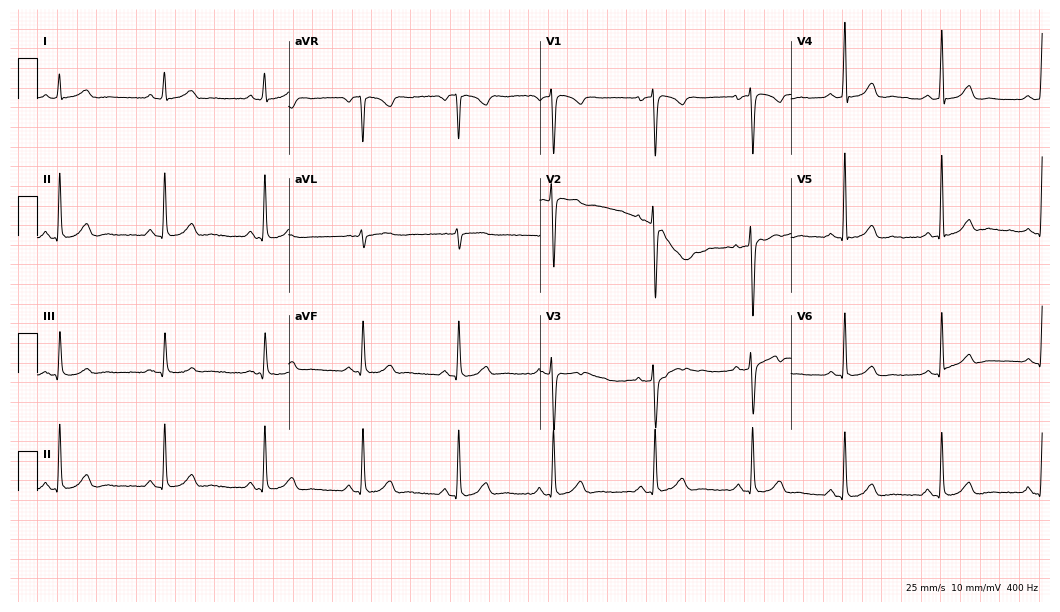
ECG — a 58-year-old female patient. Labelled as a normal ECG.